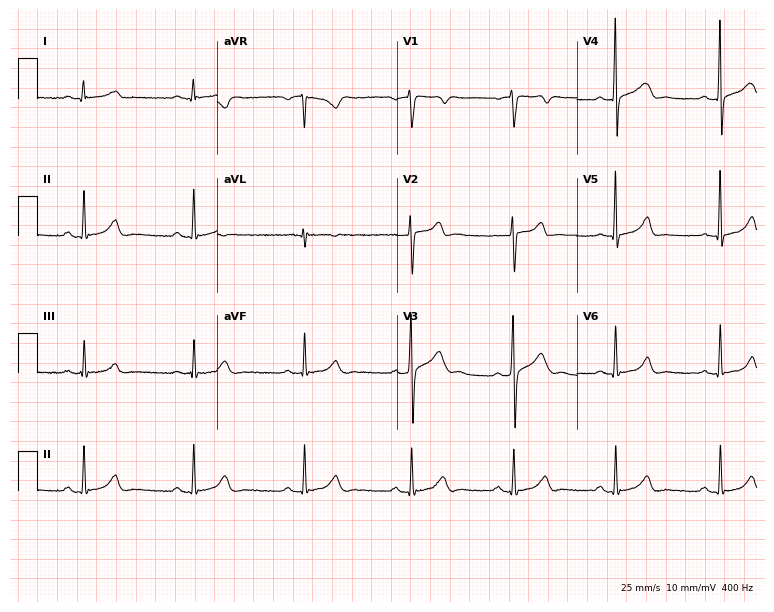
ECG (7.3-second recording at 400 Hz) — a man, 26 years old. Labelled as a normal ECG.